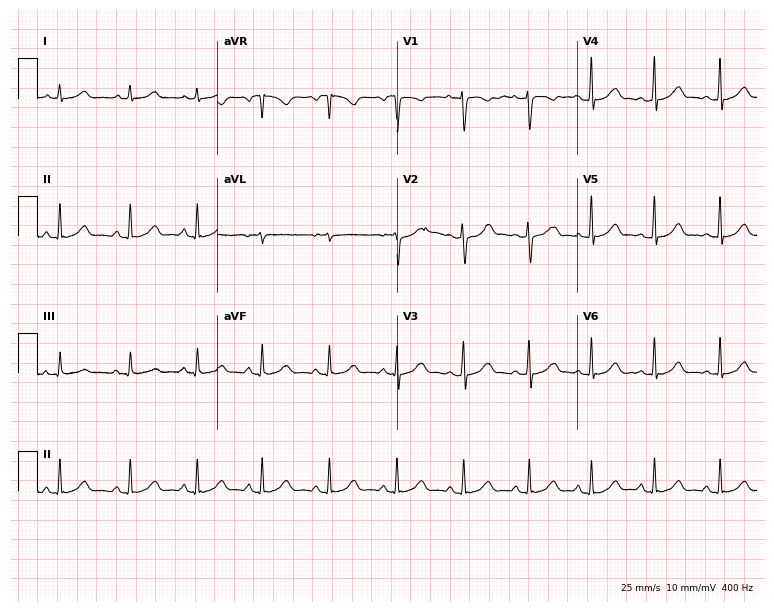
Resting 12-lead electrocardiogram (7.3-second recording at 400 Hz). Patient: a 23-year-old female. Read as a normal ECG.